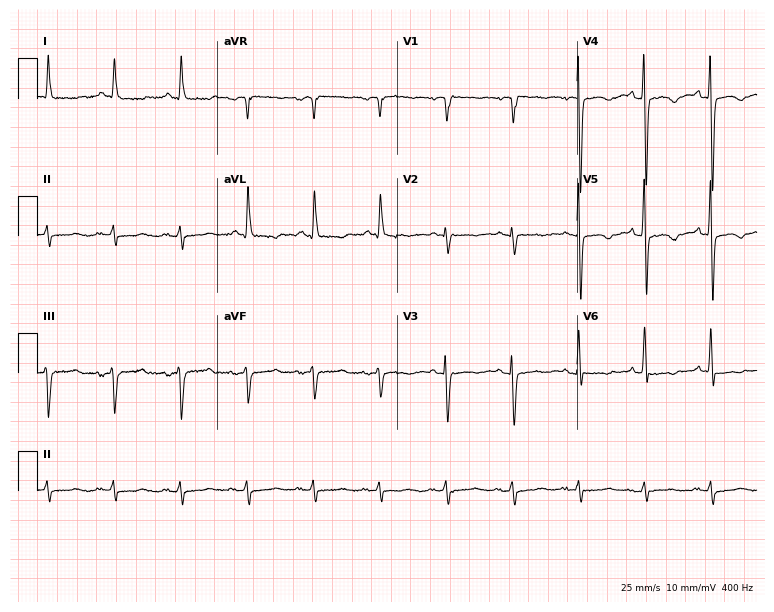
12-lead ECG from a woman, 74 years old. Screened for six findings — first-degree AV block, right bundle branch block (RBBB), left bundle branch block (LBBB), sinus bradycardia, atrial fibrillation (AF), sinus tachycardia — none is recorded.